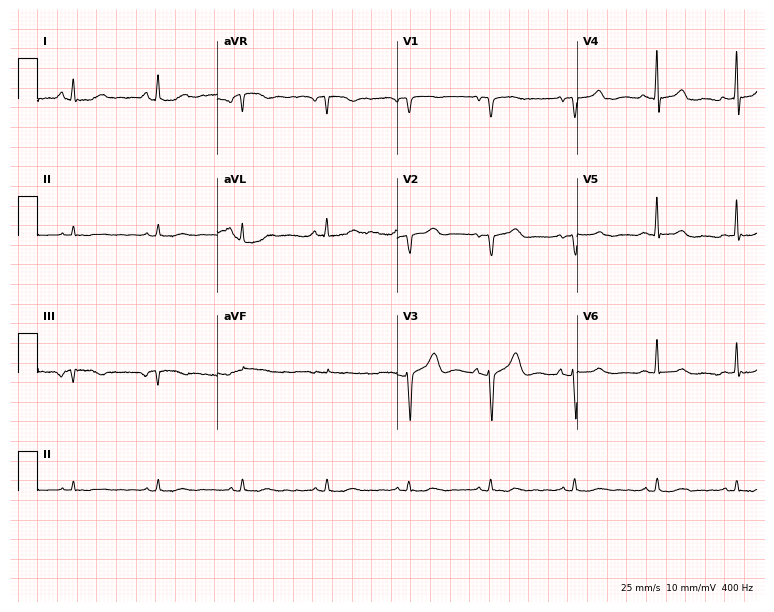
Electrocardiogram (7.3-second recording at 400 Hz), a woman, 84 years old. Of the six screened findings (first-degree AV block, right bundle branch block, left bundle branch block, sinus bradycardia, atrial fibrillation, sinus tachycardia), none is recorded. Other findings, if any, are not listed.